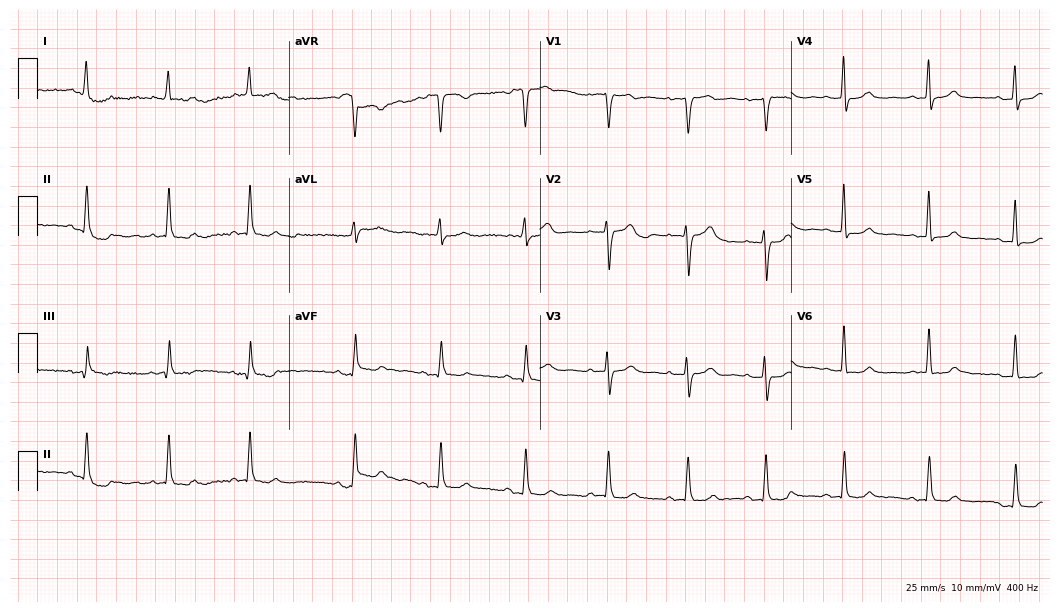
Standard 12-lead ECG recorded from a female patient, 76 years old. None of these six findings is recorded: first-degree AV block, right bundle branch block (RBBB), left bundle branch block (LBBB), sinus bradycardia, atrial fibrillation (AF), sinus tachycardia.